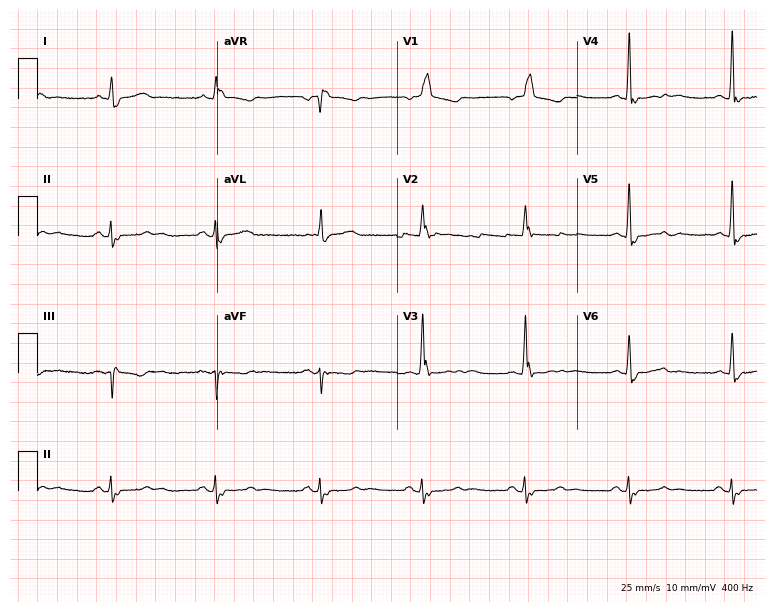
Standard 12-lead ECG recorded from a male, 88 years old. The tracing shows right bundle branch block.